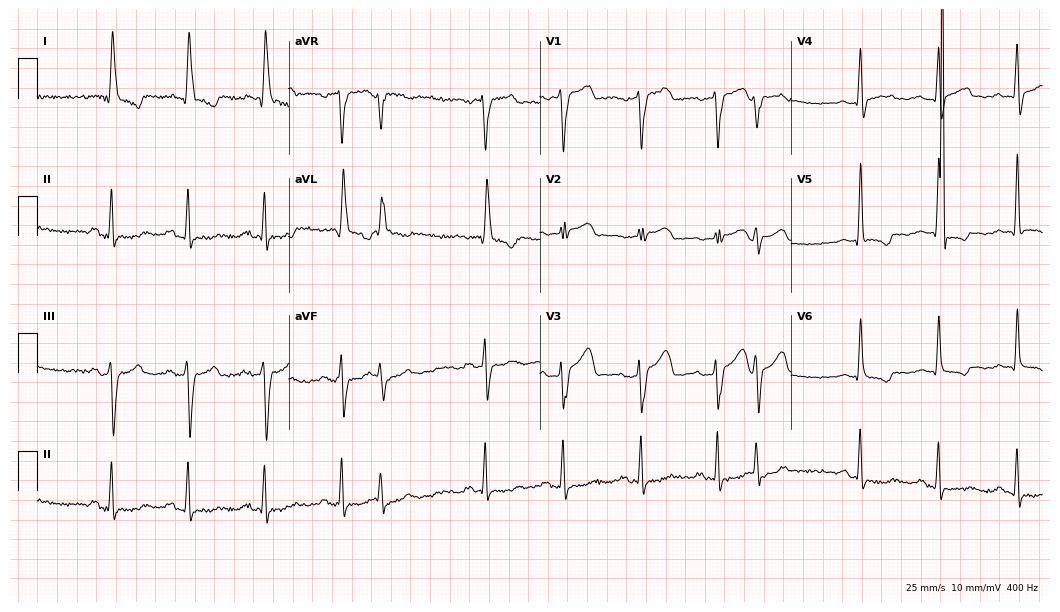
Resting 12-lead electrocardiogram (10.2-second recording at 400 Hz). Patient: an 80-year-old female. None of these six findings is recorded: first-degree AV block, right bundle branch block (RBBB), left bundle branch block (LBBB), sinus bradycardia, atrial fibrillation (AF), sinus tachycardia. Other findings, if any, are not listed.